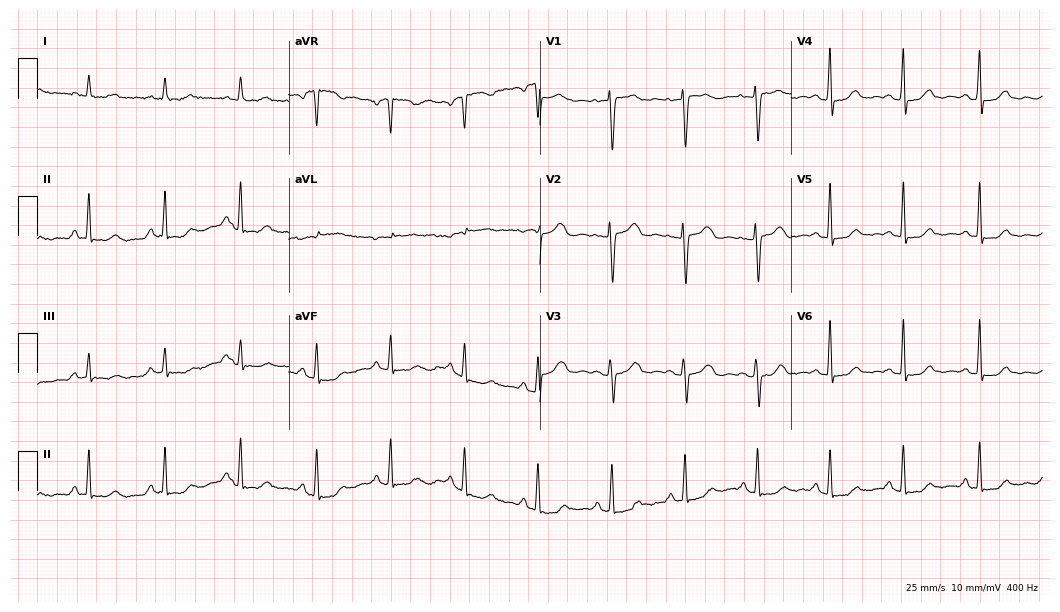
ECG — a woman, 73 years old. Screened for six findings — first-degree AV block, right bundle branch block (RBBB), left bundle branch block (LBBB), sinus bradycardia, atrial fibrillation (AF), sinus tachycardia — none is recorded.